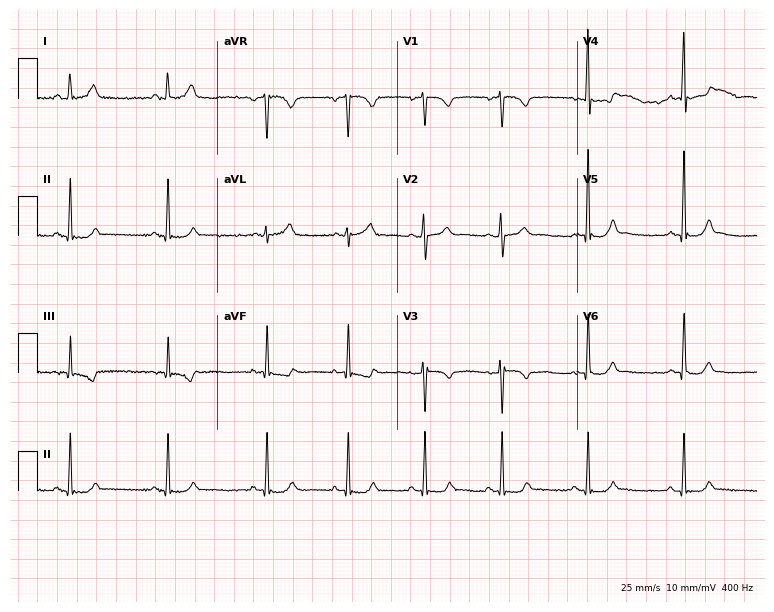
Electrocardiogram, a 27-year-old female. Of the six screened findings (first-degree AV block, right bundle branch block, left bundle branch block, sinus bradycardia, atrial fibrillation, sinus tachycardia), none is recorded.